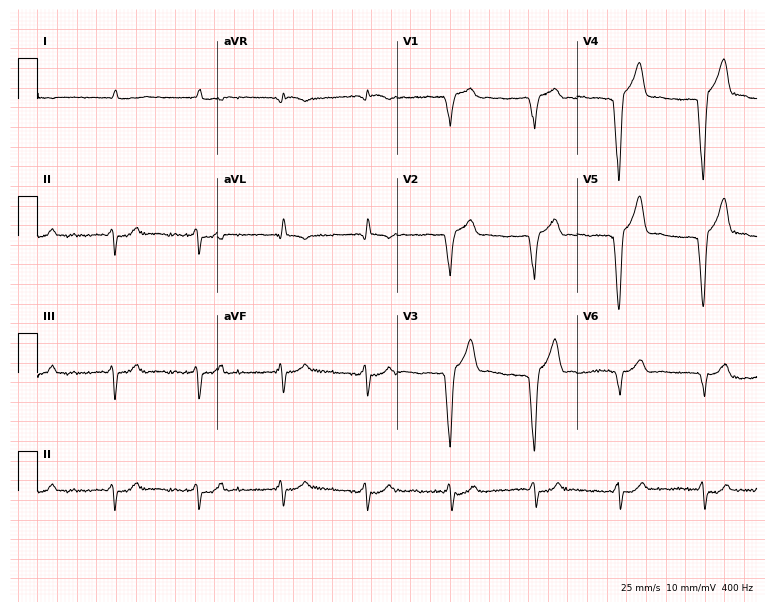
12-lead ECG from a woman, 83 years old. Shows atrial fibrillation (AF).